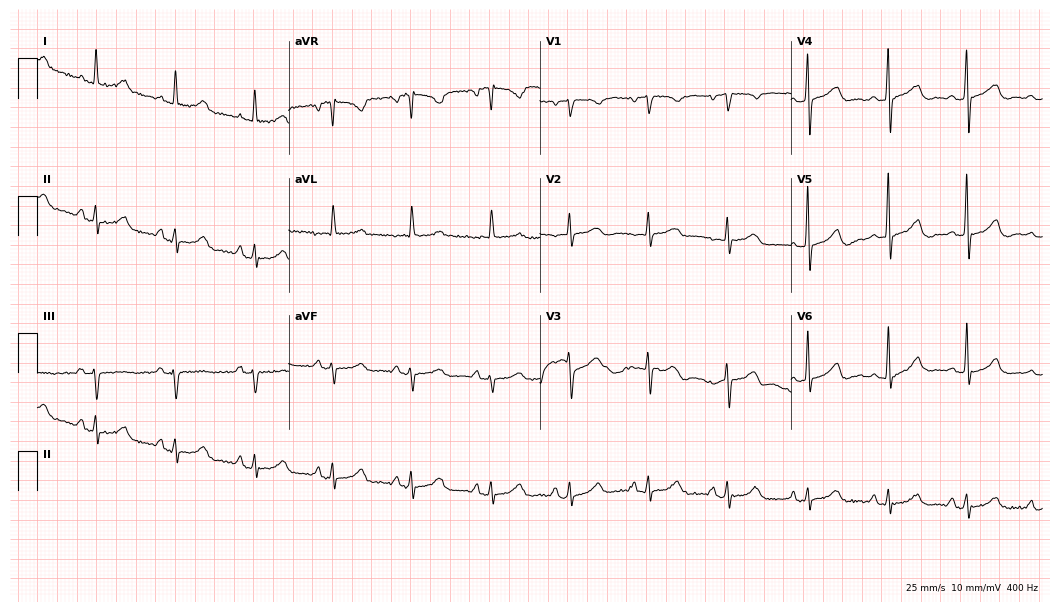
12-lead ECG from a 59-year-old female. Labelled as a normal ECG.